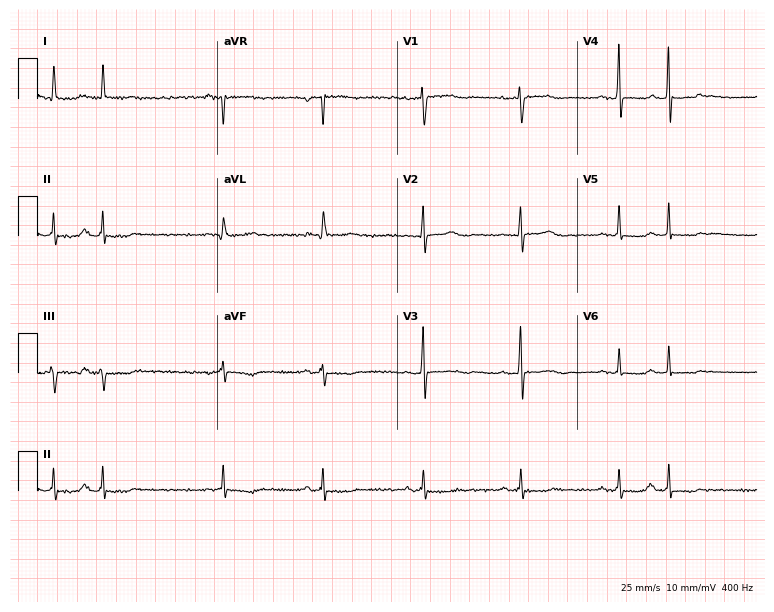
Electrocardiogram, a 62-year-old woman. Of the six screened findings (first-degree AV block, right bundle branch block (RBBB), left bundle branch block (LBBB), sinus bradycardia, atrial fibrillation (AF), sinus tachycardia), none is recorded.